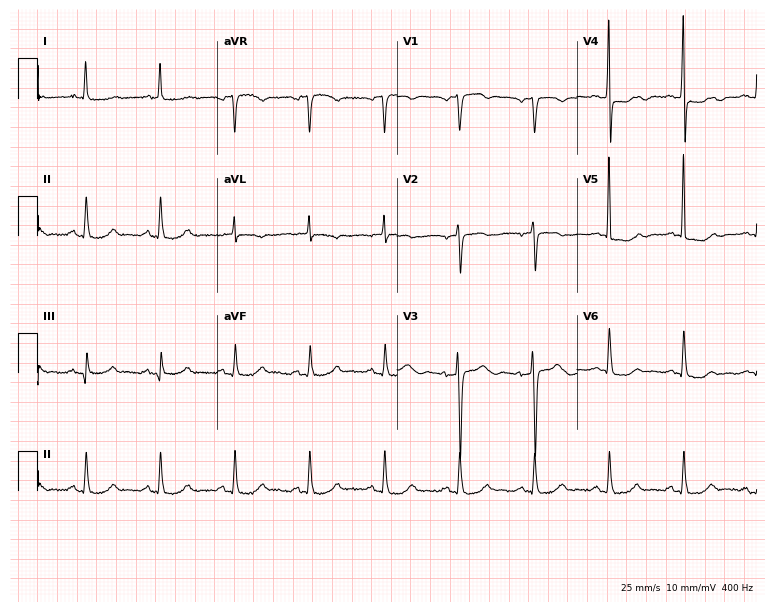
12-lead ECG from a 73-year-old female (7.3-second recording at 400 Hz). No first-degree AV block, right bundle branch block, left bundle branch block, sinus bradycardia, atrial fibrillation or sinus tachycardia recorded for this tracing. Findings outside these six are not listed.